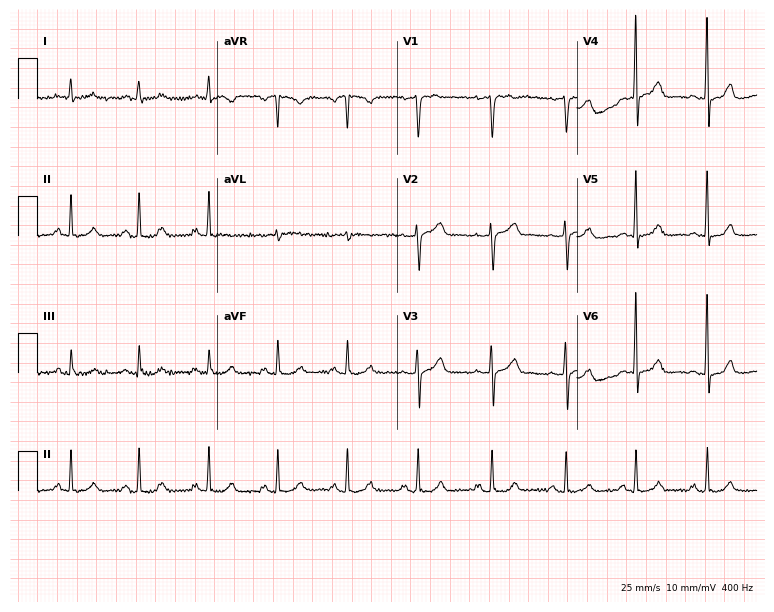
12-lead ECG (7.3-second recording at 400 Hz) from a 70-year-old female patient. Labelled as a normal ECG.